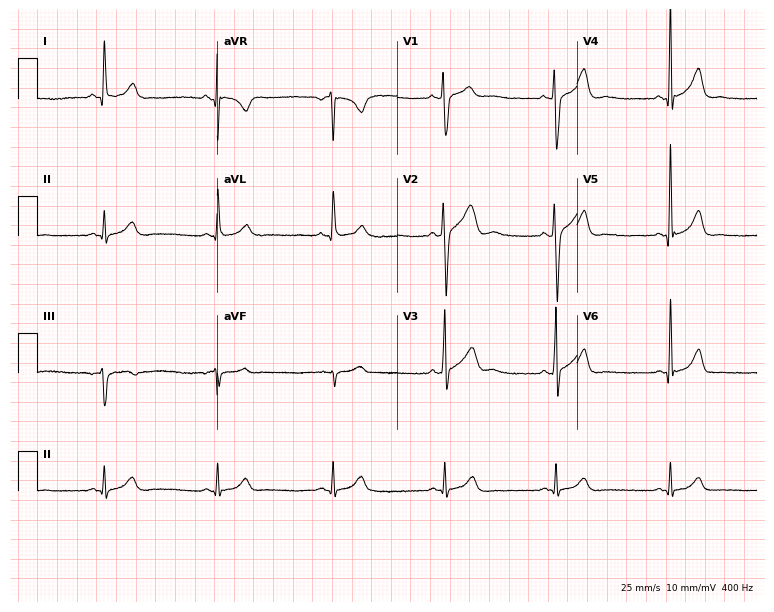
Resting 12-lead electrocardiogram. Patient: a 32-year-old man. Read as a normal ECG.